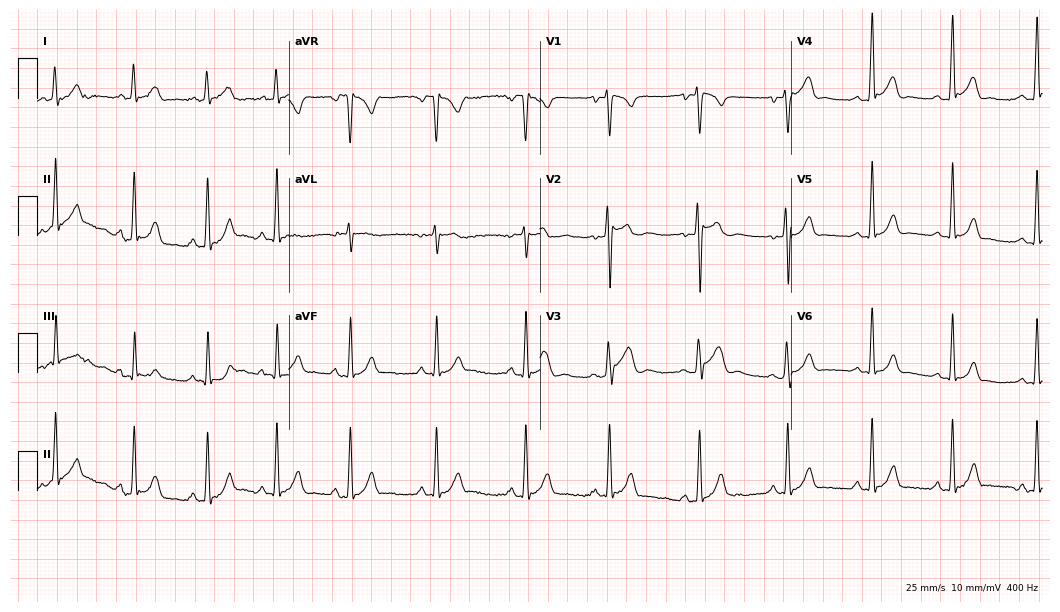
12-lead ECG from a 20-year-old male. Screened for six findings — first-degree AV block, right bundle branch block, left bundle branch block, sinus bradycardia, atrial fibrillation, sinus tachycardia — none is recorded.